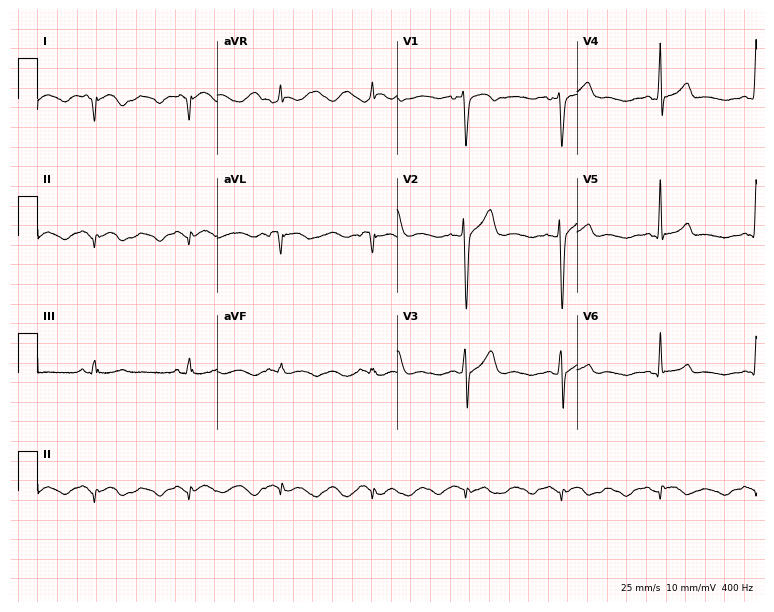
Standard 12-lead ECG recorded from a male, 48 years old (7.3-second recording at 400 Hz). None of these six findings is recorded: first-degree AV block, right bundle branch block, left bundle branch block, sinus bradycardia, atrial fibrillation, sinus tachycardia.